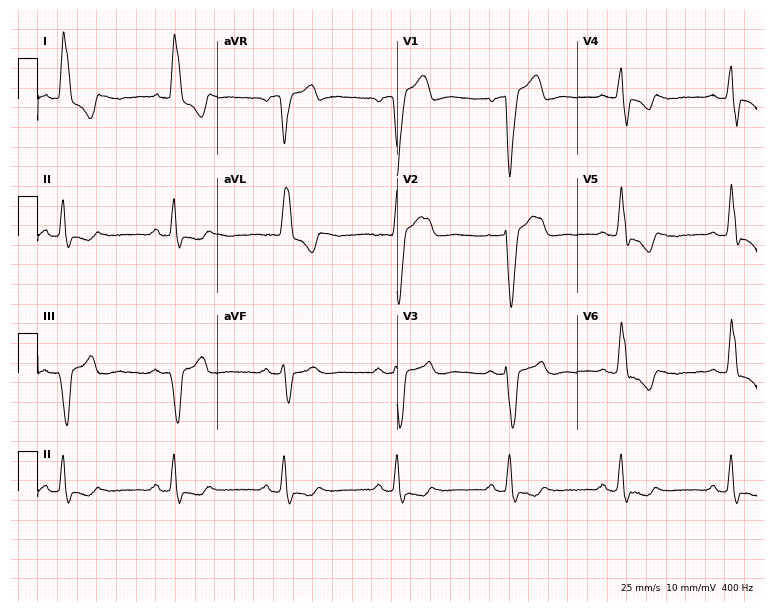
ECG (7.3-second recording at 400 Hz) — a male patient, 83 years old. Findings include left bundle branch block.